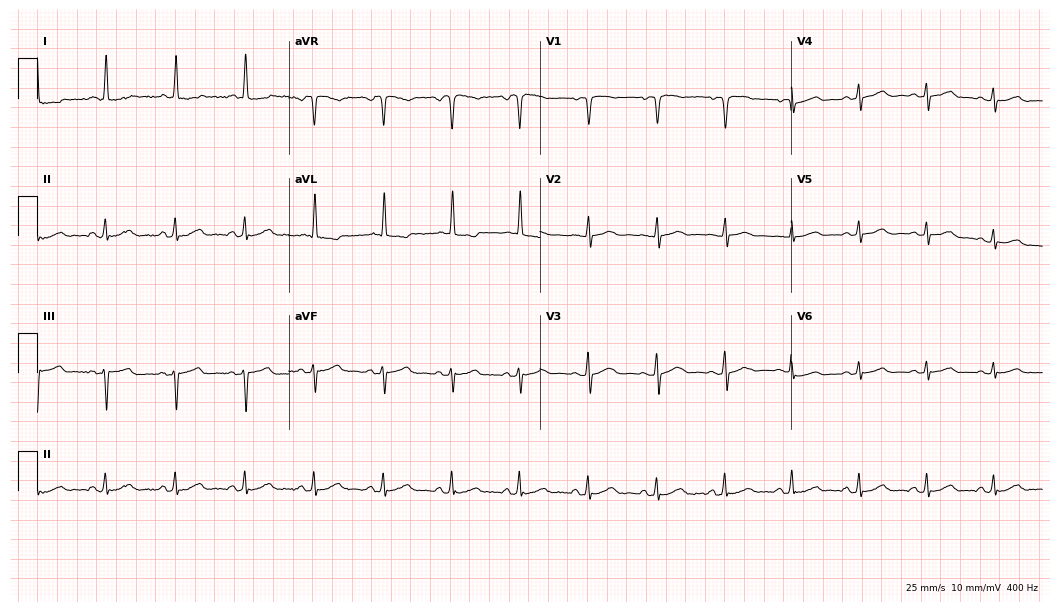
12-lead ECG (10.2-second recording at 400 Hz) from a woman, 65 years old. Labelled as a normal ECG.